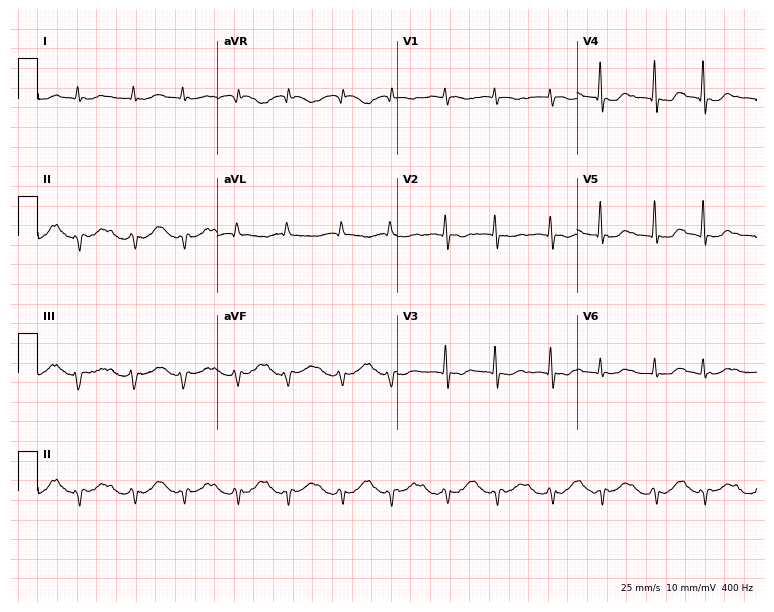
12-lead ECG (7.3-second recording at 400 Hz) from a male patient, 78 years old. Screened for six findings — first-degree AV block, right bundle branch block, left bundle branch block, sinus bradycardia, atrial fibrillation, sinus tachycardia — none is recorded. Other findings, if any, are not listed.